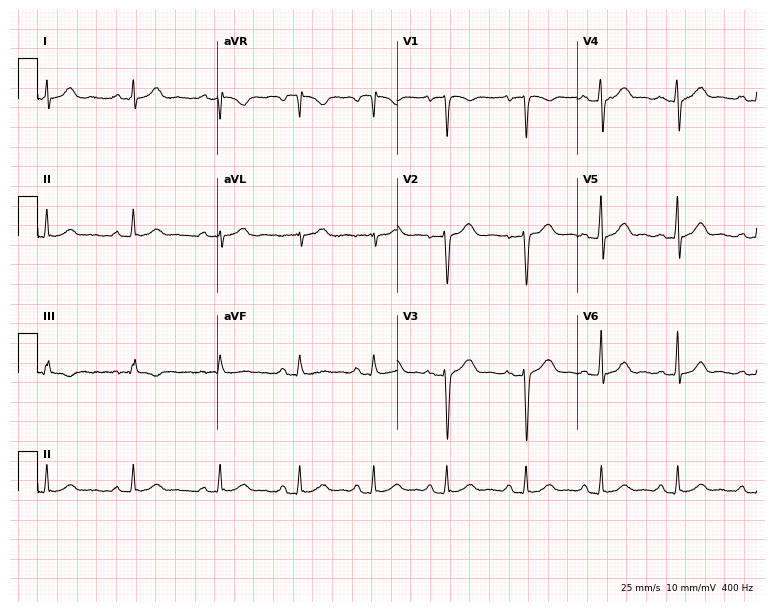
12-lead ECG from a 36-year-old male. Recorded interpretation: within normal limits.